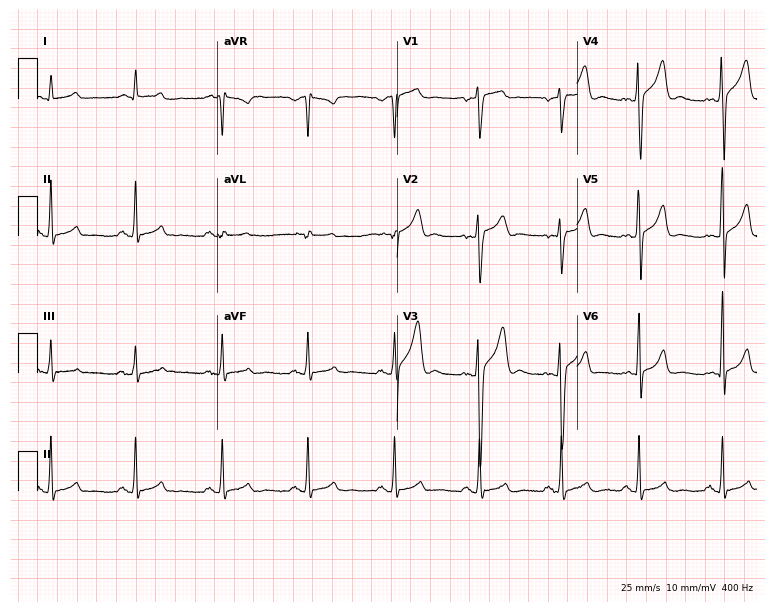
Standard 12-lead ECG recorded from a male, 39 years old. Read as a normal ECG.